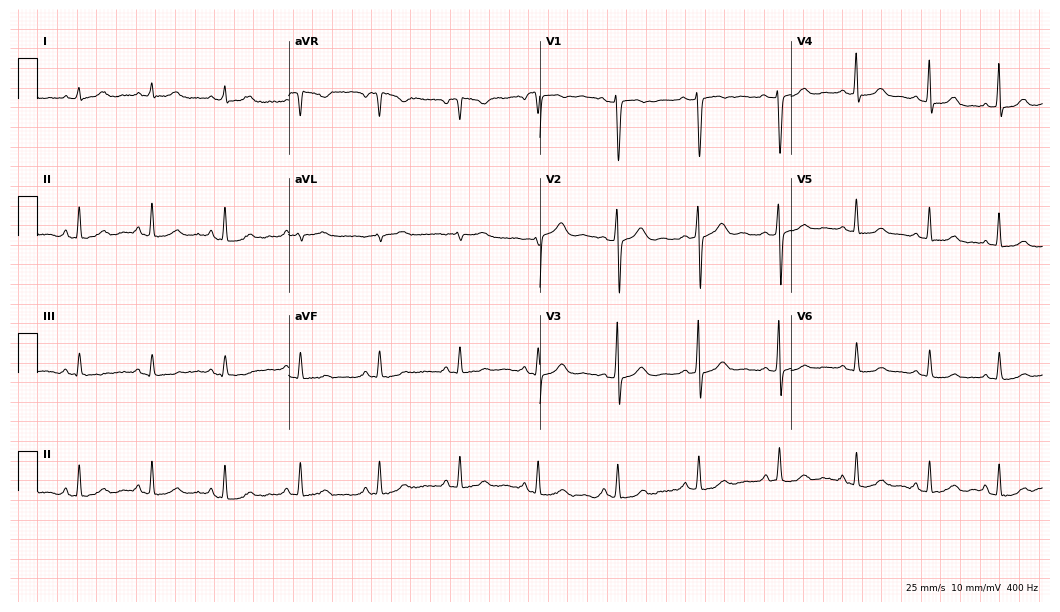
ECG — a 24-year-old female. Labelled as a normal ECG.